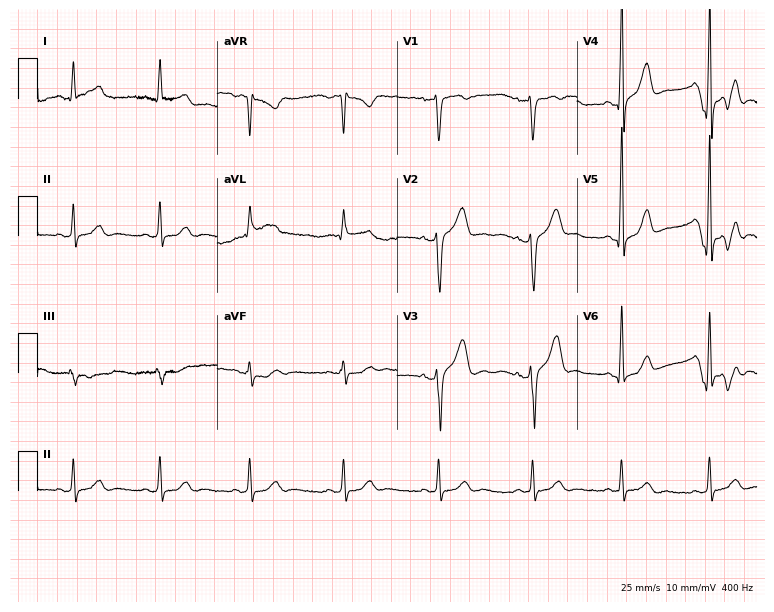
12-lead ECG from a 38-year-old man (7.3-second recording at 400 Hz). No first-degree AV block, right bundle branch block, left bundle branch block, sinus bradycardia, atrial fibrillation or sinus tachycardia recorded for this tracing.